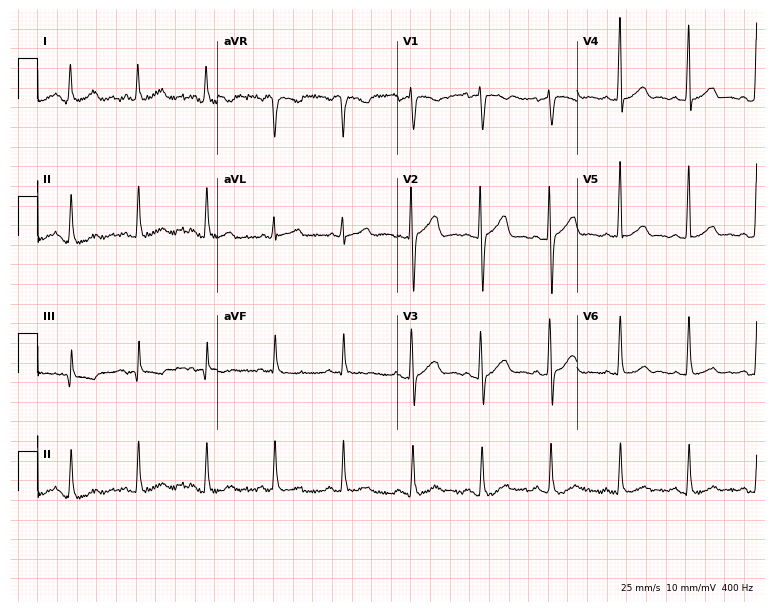
12-lead ECG from a woman, 46 years old. Labelled as a normal ECG.